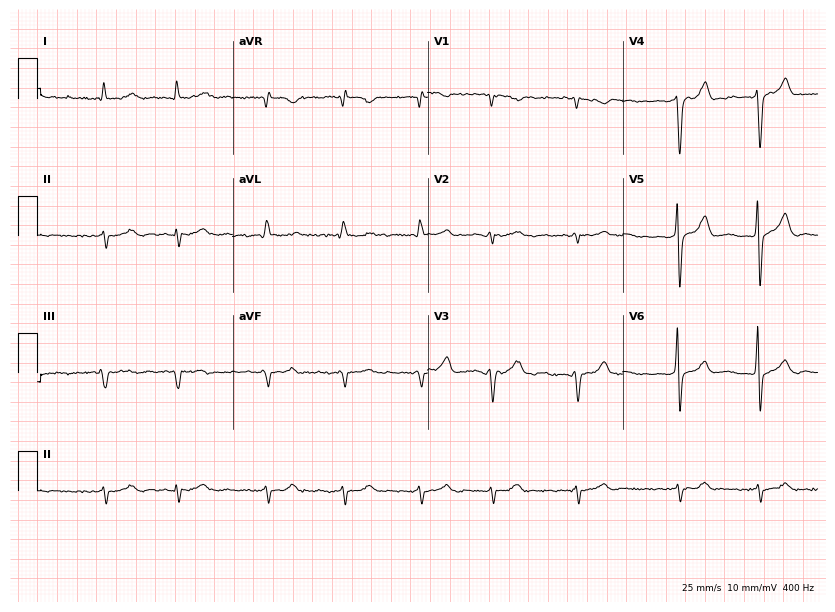
12-lead ECG from a 73-year-old man (8-second recording at 400 Hz). Shows atrial fibrillation.